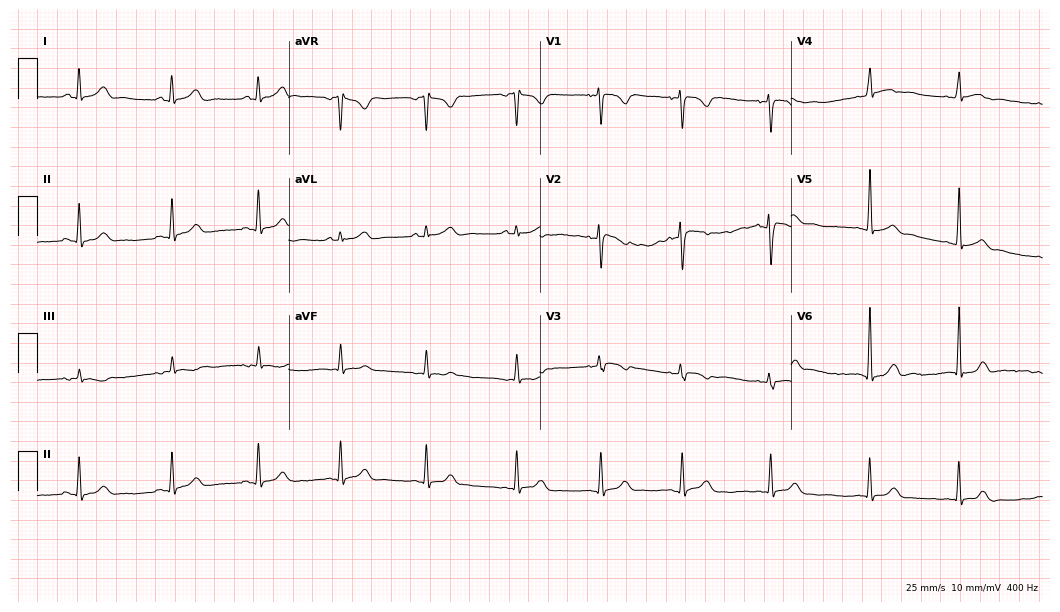
12-lead ECG from a 27-year-old female patient. Recorded interpretation: within normal limits.